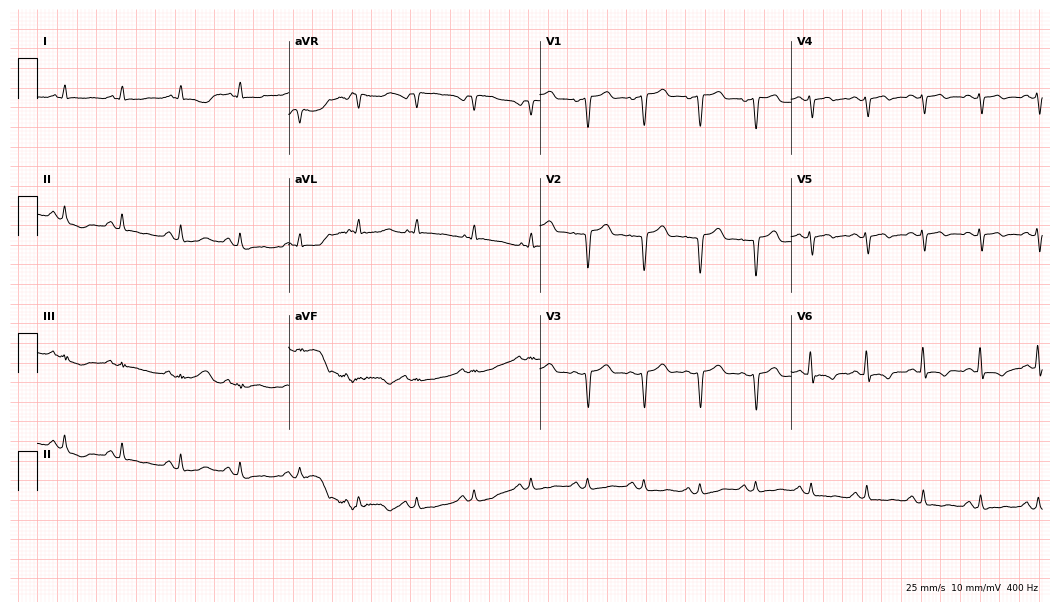
Standard 12-lead ECG recorded from a man, 82 years old. None of these six findings is recorded: first-degree AV block, right bundle branch block, left bundle branch block, sinus bradycardia, atrial fibrillation, sinus tachycardia.